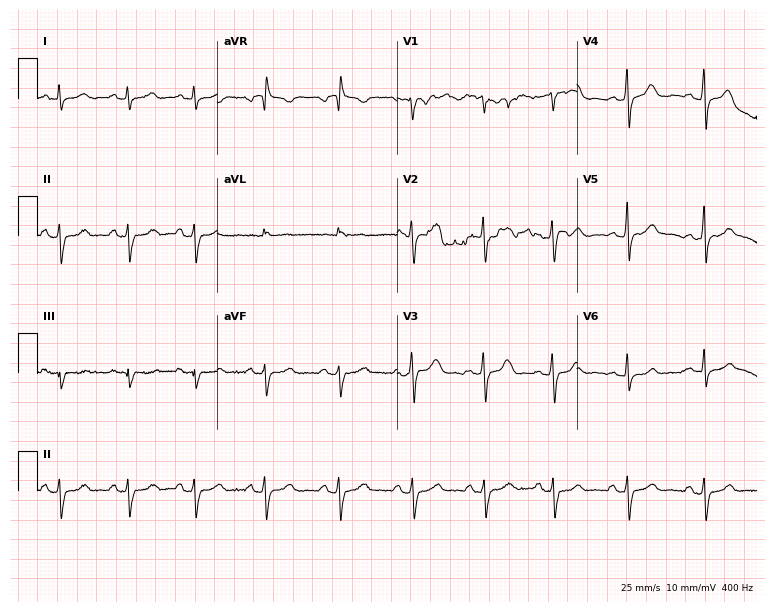
Electrocardiogram (7.3-second recording at 400 Hz), a female, 30 years old. Of the six screened findings (first-degree AV block, right bundle branch block, left bundle branch block, sinus bradycardia, atrial fibrillation, sinus tachycardia), none is recorded. Only these six findings were labelled.